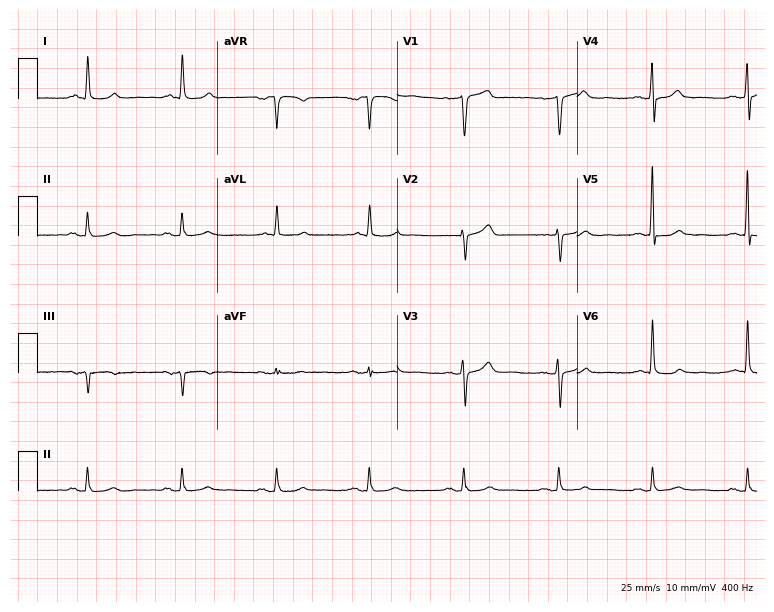
ECG — a 79-year-old man. Labelled as a normal ECG.